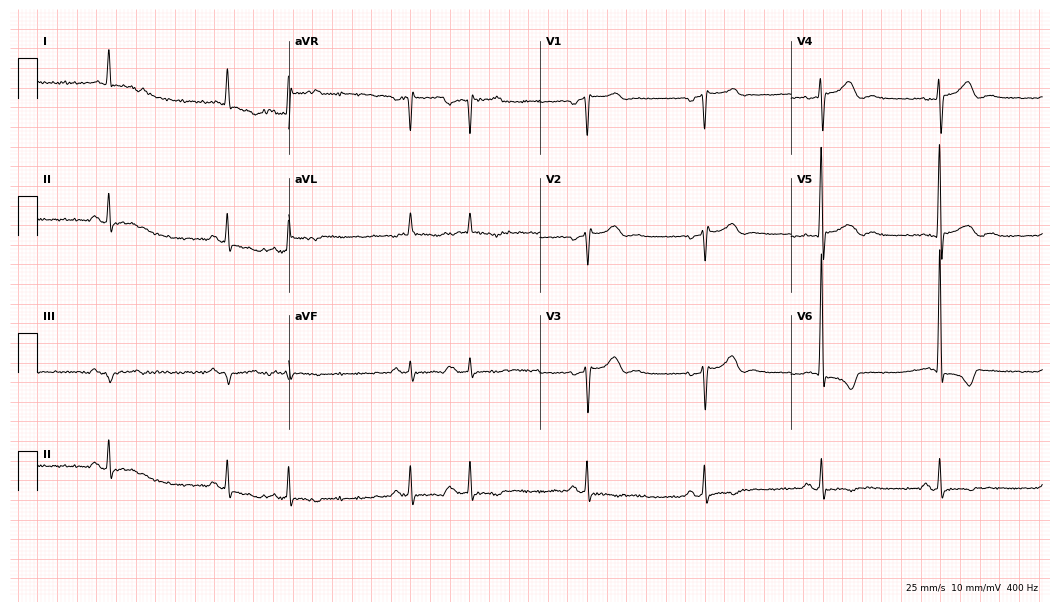
Standard 12-lead ECG recorded from a man, 75 years old. None of these six findings is recorded: first-degree AV block, right bundle branch block, left bundle branch block, sinus bradycardia, atrial fibrillation, sinus tachycardia.